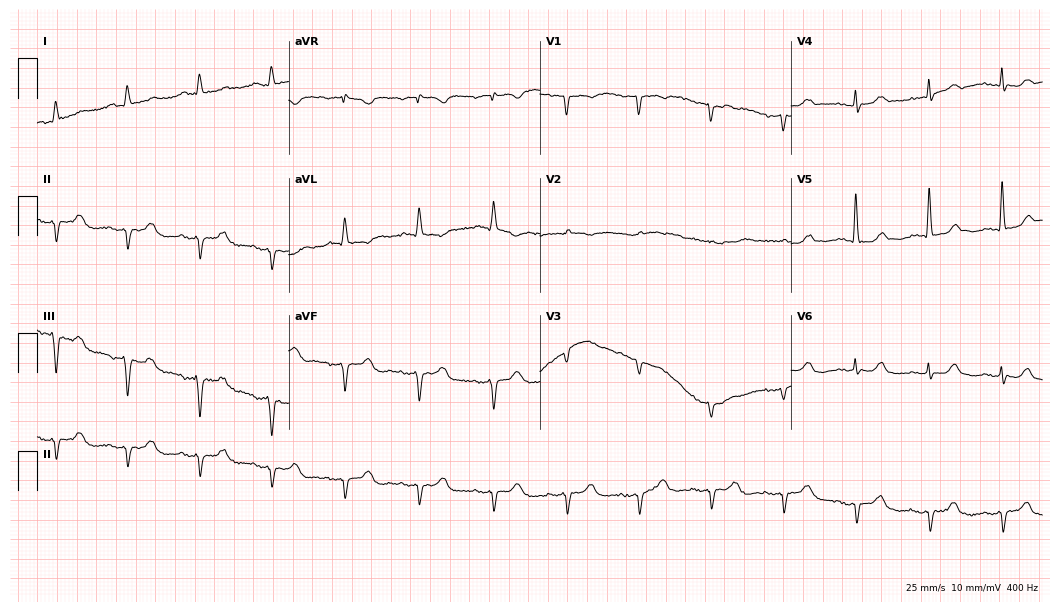
12-lead ECG from a 79-year-old female patient. No first-degree AV block, right bundle branch block, left bundle branch block, sinus bradycardia, atrial fibrillation or sinus tachycardia recorded for this tracing. Only these six findings were labelled.